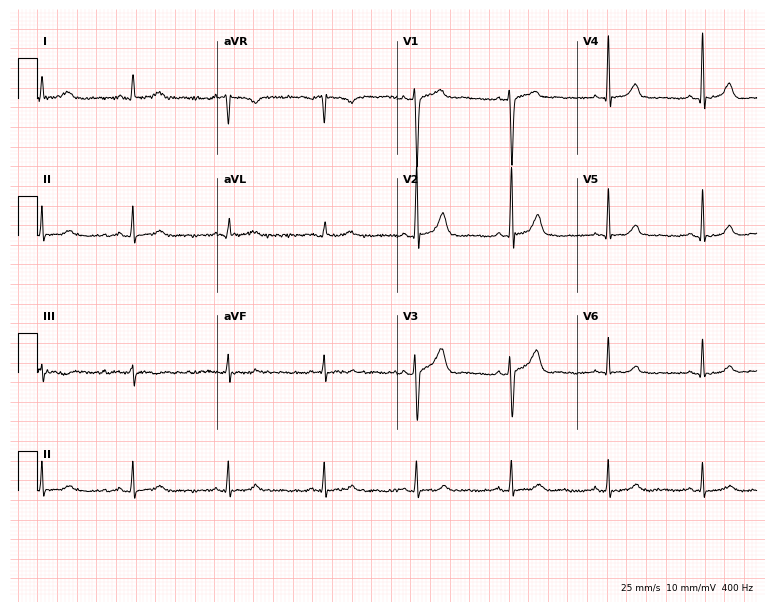
Electrocardiogram, a 28-year-old female. Overall reading on record: normal ECG.